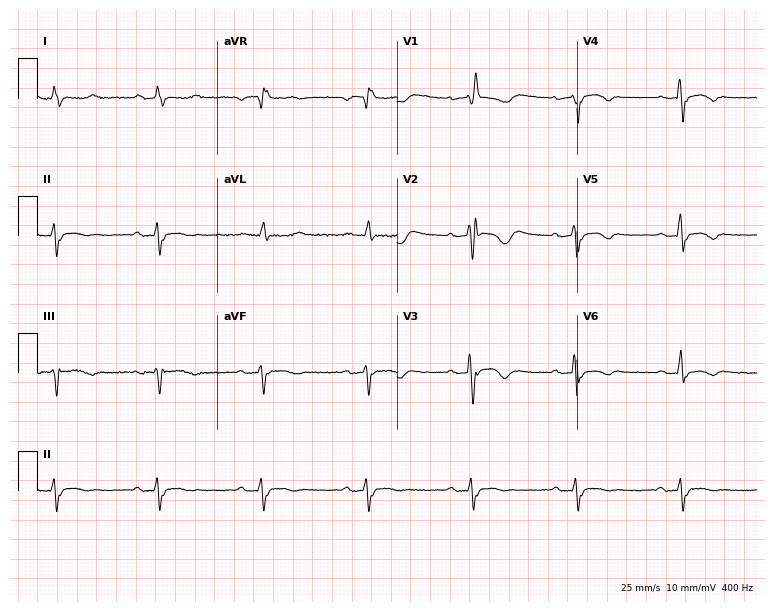
12-lead ECG from a 75-year-old female patient. Findings include right bundle branch block (RBBB).